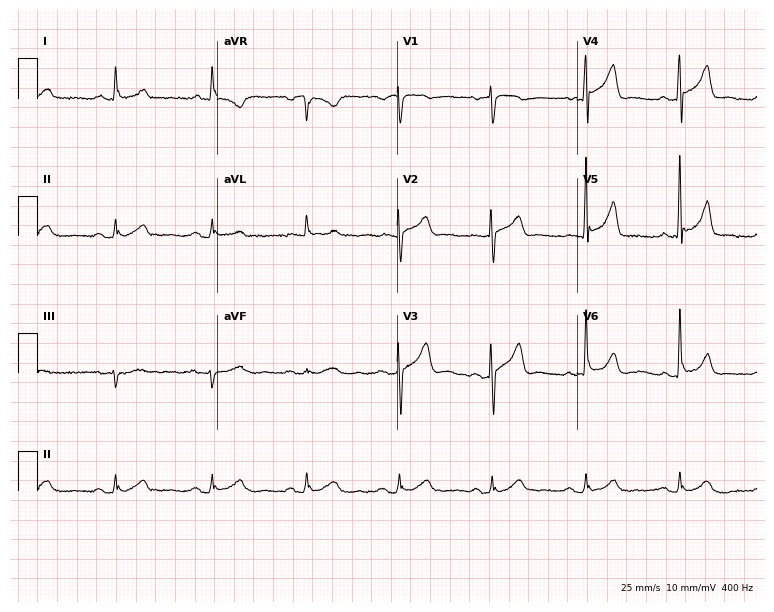
ECG (7.3-second recording at 400 Hz) — a 71-year-old male. Screened for six findings — first-degree AV block, right bundle branch block (RBBB), left bundle branch block (LBBB), sinus bradycardia, atrial fibrillation (AF), sinus tachycardia — none is recorded. Only these six findings were labelled.